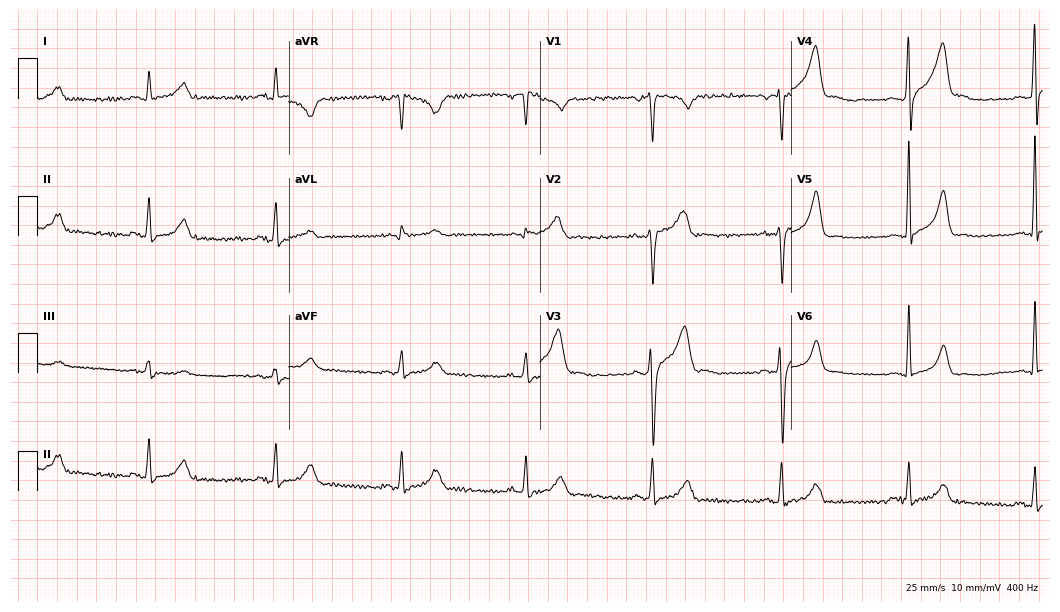
12-lead ECG (10.2-second recording at 400 Hz) from a 56-year-old female patient. Findings include sinus bradycardia (a sinus rate of 50 beats per minute or less).